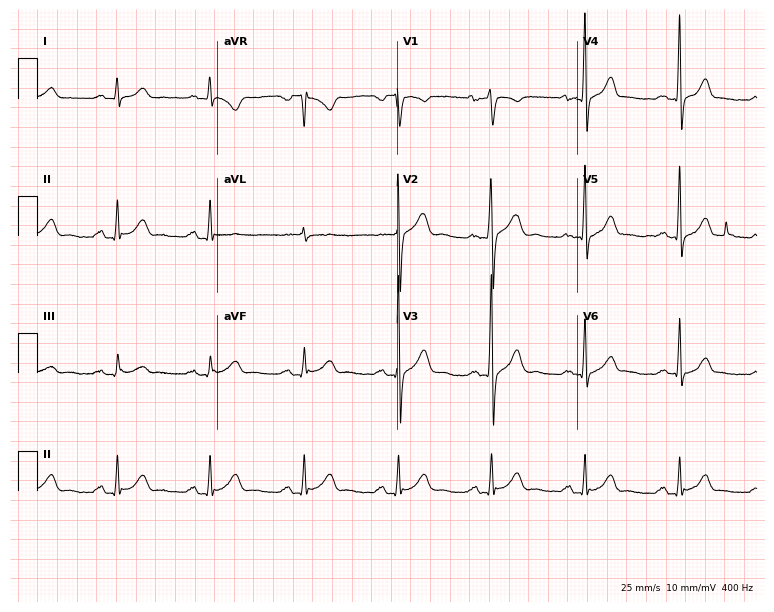
Standard 12-lead ECG recorded from a 53-year-old man. Read as a normal ECG.